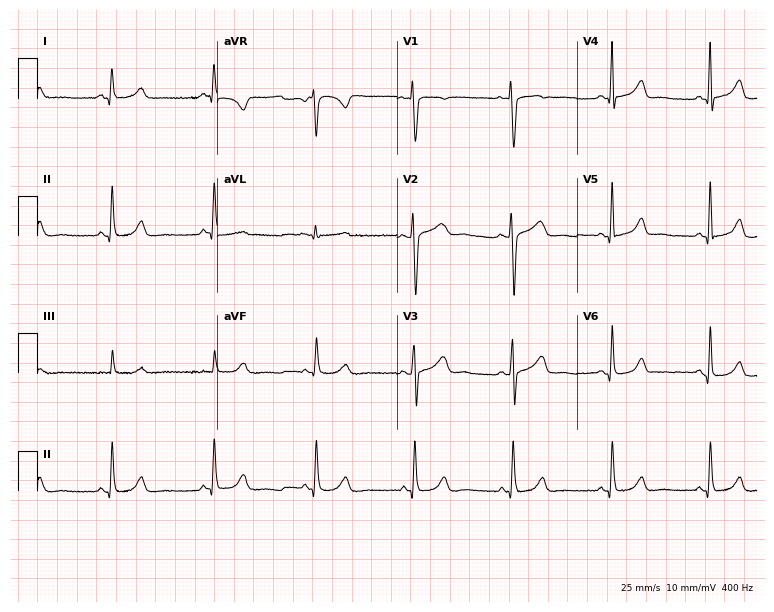
Resting 12-lead electrocardiogram (7.3-second recording at 400 Hz). Patient: a 44-year-old woman. None of these six findings is recorded: first-degree AV block, right bundle branch block, left bundle branch block, sinus bradycardia, atrial fibrillation, sinus tachycardia.